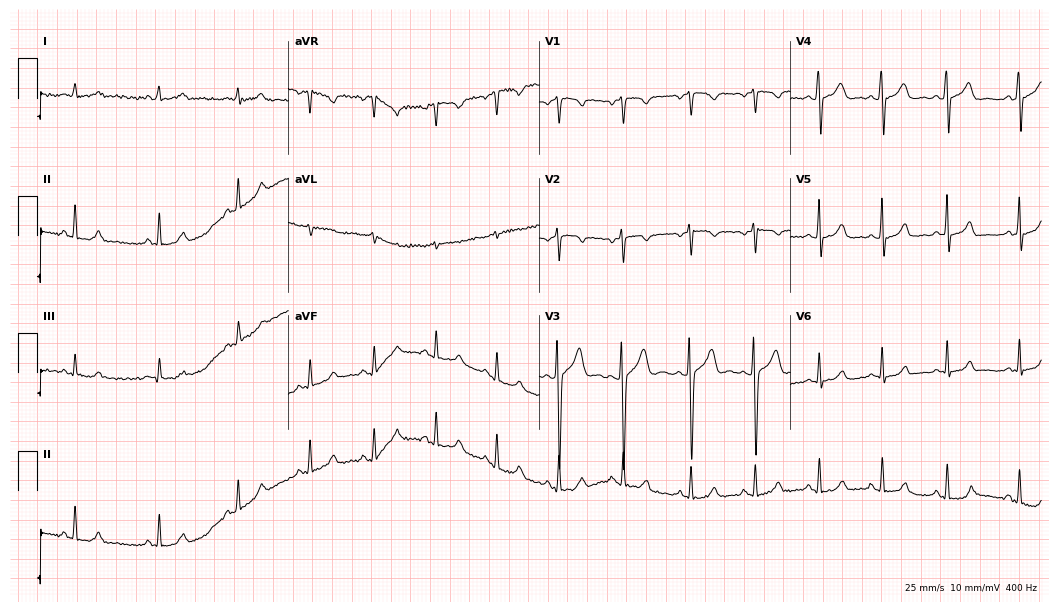
12-lead ECG from a female patient, 22 years old (10.2-second recording at 400 Hz). No first-degree AV block, right bundle branch block (RBBB), left bundle branch block (LBBB), sinus bradycardia, atrial fibrillation (AF) or sinus tachycardia recorded for this tracing. Findings outside these six are not listed.